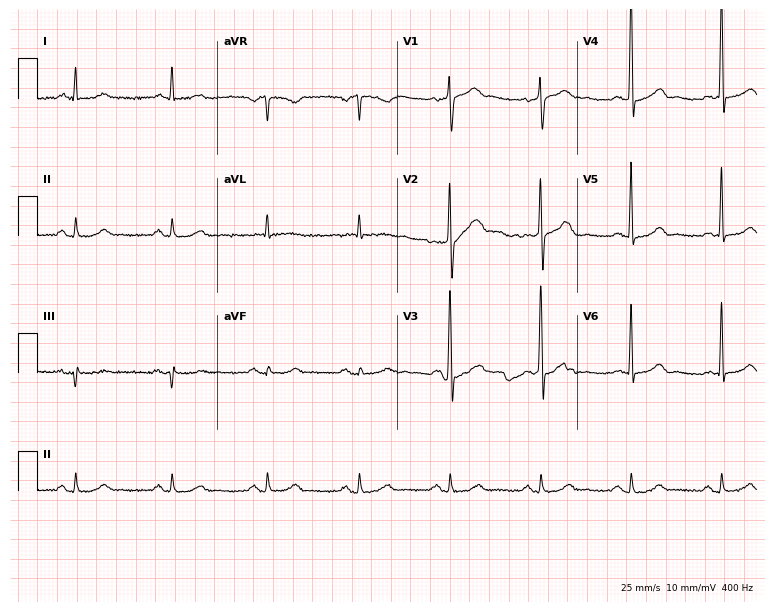
Electrocardiogram, a male patient, 61 years old. Of the six screened findings (first-degree AV block, right bundle branch block (RBBB), left bundle branch block (LBBB), sinus bradycardia, atrial fibrillation (AF), sinus tachycardia), none is recorded.